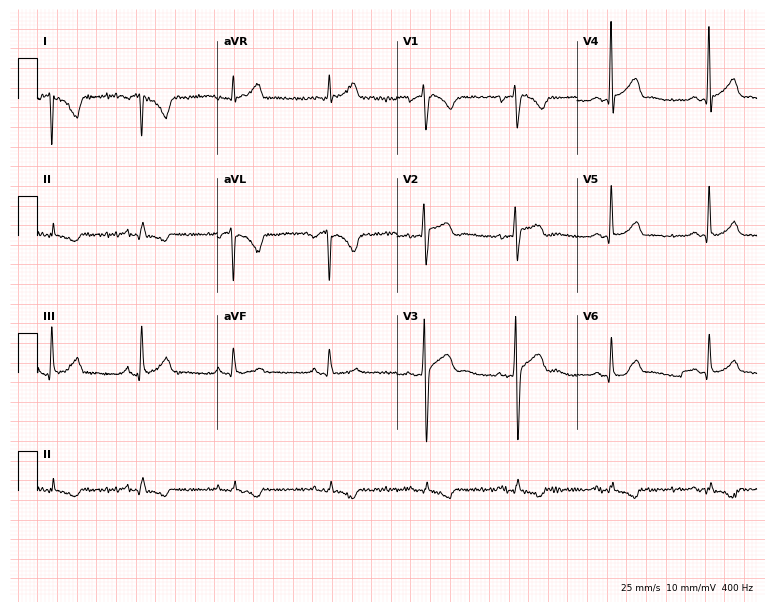
Electrocardiogram, a 31-year-old male. Of the six screened findings (first-degree AV block, right bundle branch block, left bundle branch block, sinus bradycardia, atrial fibrillation, sinus tachycardia), none is recorded. Other findings, if any, are not listed.